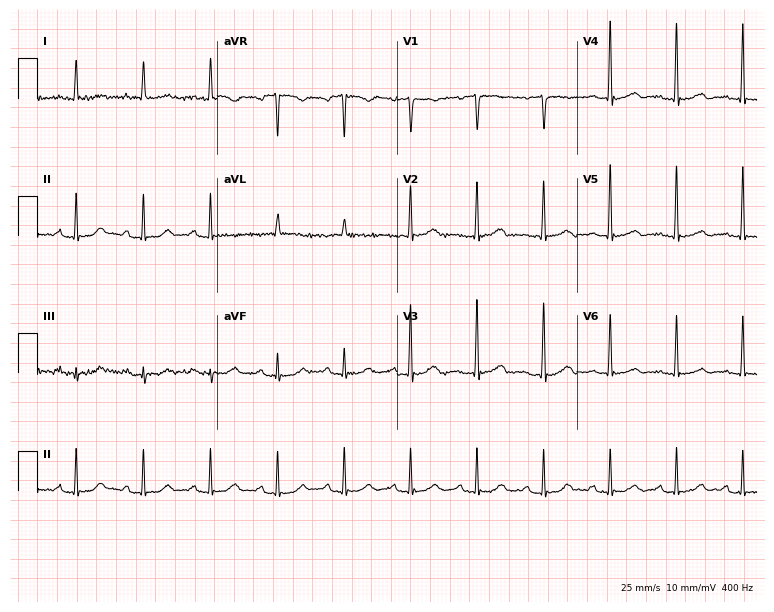
Electrocardiogram (7.3-second recording at 400 Hz), a 69-year-old female patient. Overall reading on record: normal ECG.